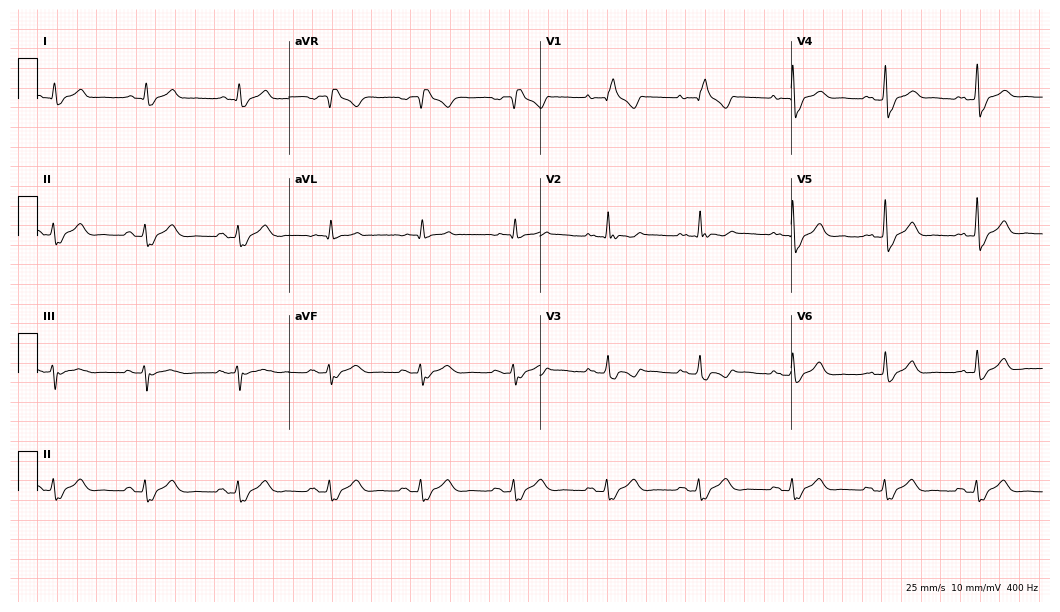
ECG — a 75-year-old man. Findings include right bundle branch block.